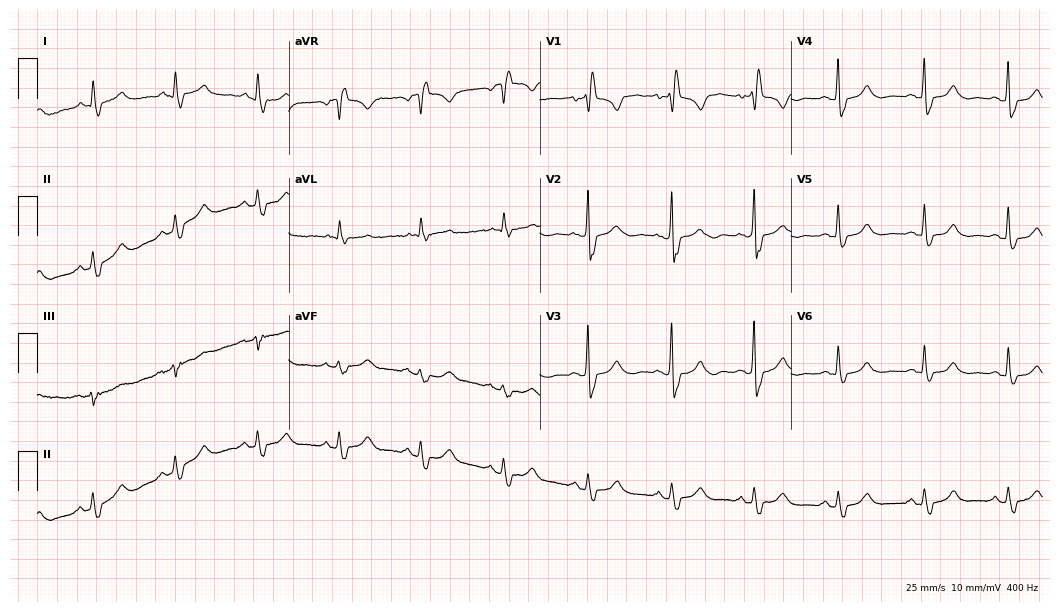
ECG (10.2-second recording at 400 Hz) — a female patient, 79 years old. Screened for six findings — first-degree AV block, right bundle branch block (RBBB), left bundle branch block (LBBB), sinus bradycardia, atrial fibrillation (AF), sinus tachycardia — none is recorded. Other findings, if any, are not listed.